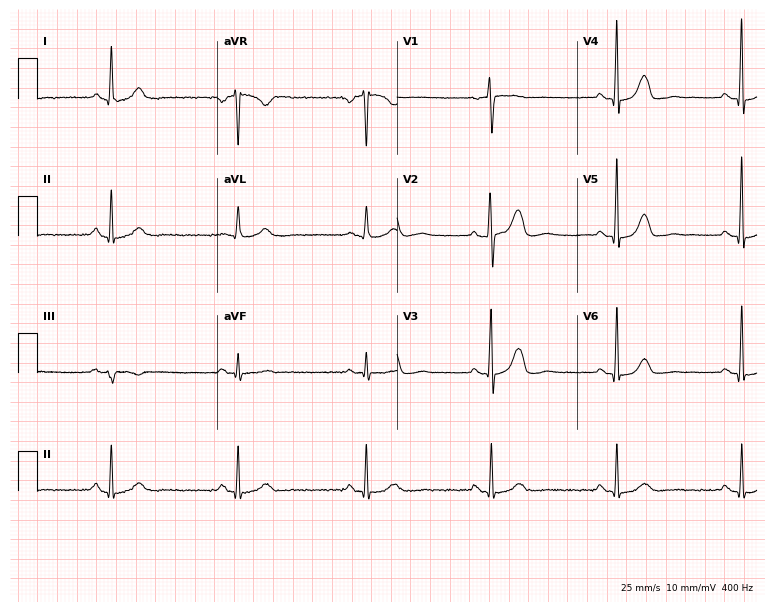
Standard 12-lead ECG recorded from a female, 52 years old. Read as a normal ECG.